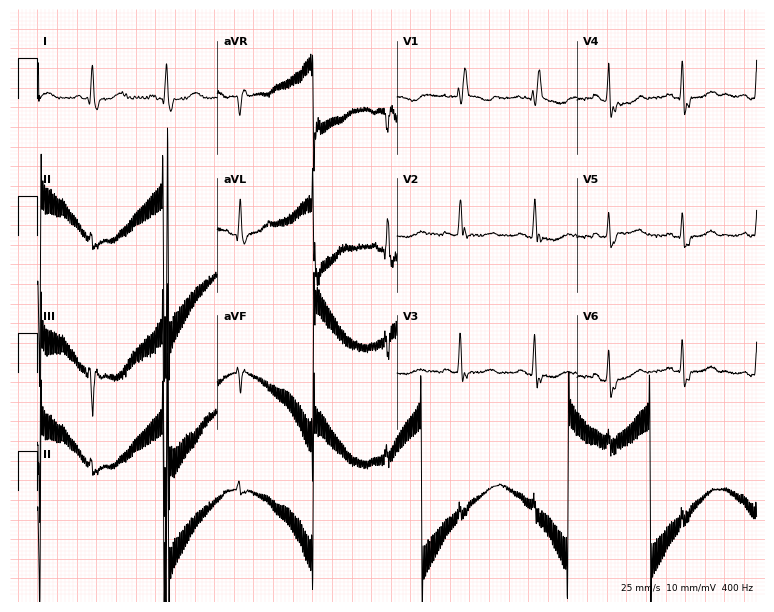
Electrocardiogram (7.3-second recording at 400 Hz), a 68-year-old woman. Of the six screened findings (first-degree AV block, right bundle branch block, left bundle branch block, sinus bradycardia, atrial fibrillation, sinus tachycardia), none is recorded.